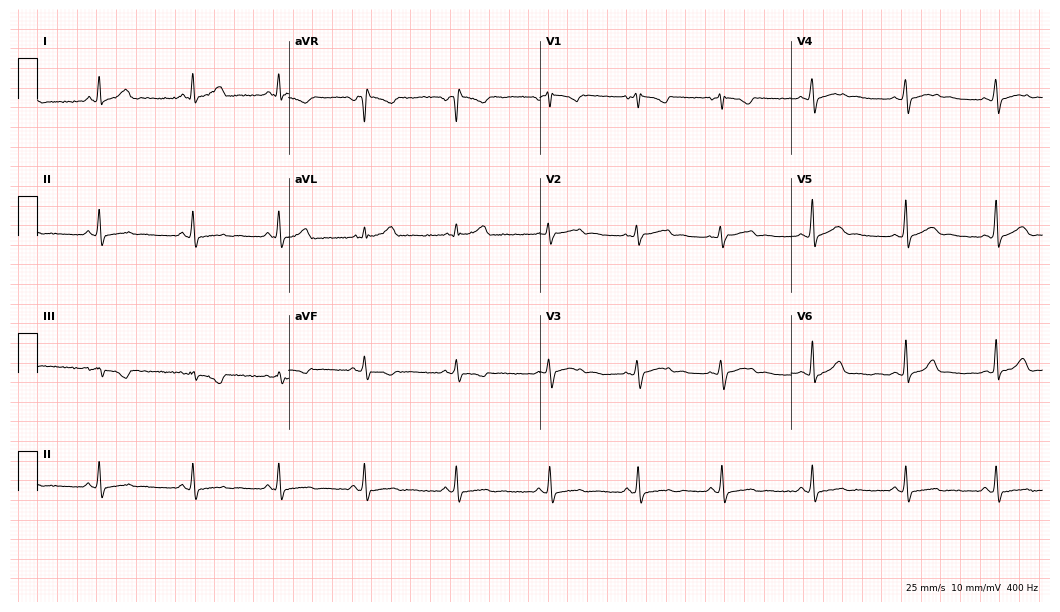
Standard 12-lead ECG recorded from a female patient, 29 years old (10.2-second recording at 400 Hz). Read as a normal ECG.